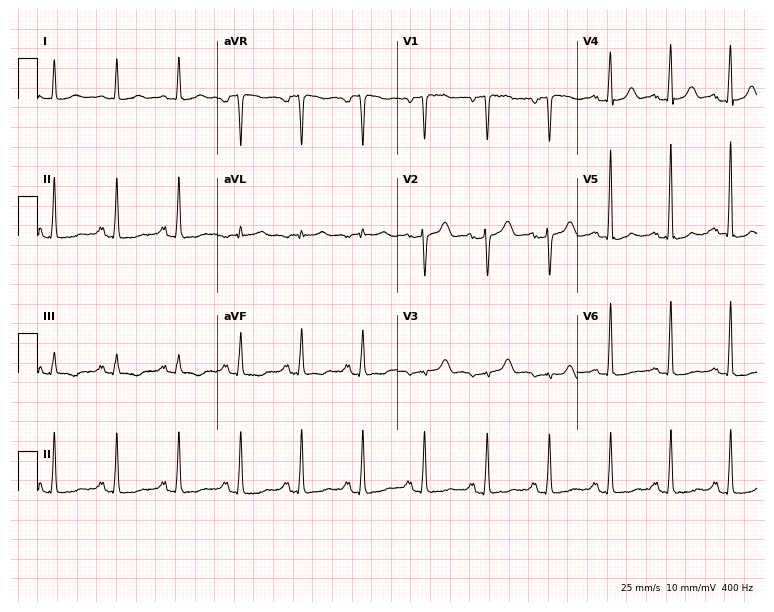
12-lead ECG from a woman, 50 years old. Recorded interpretation: within normal limits.